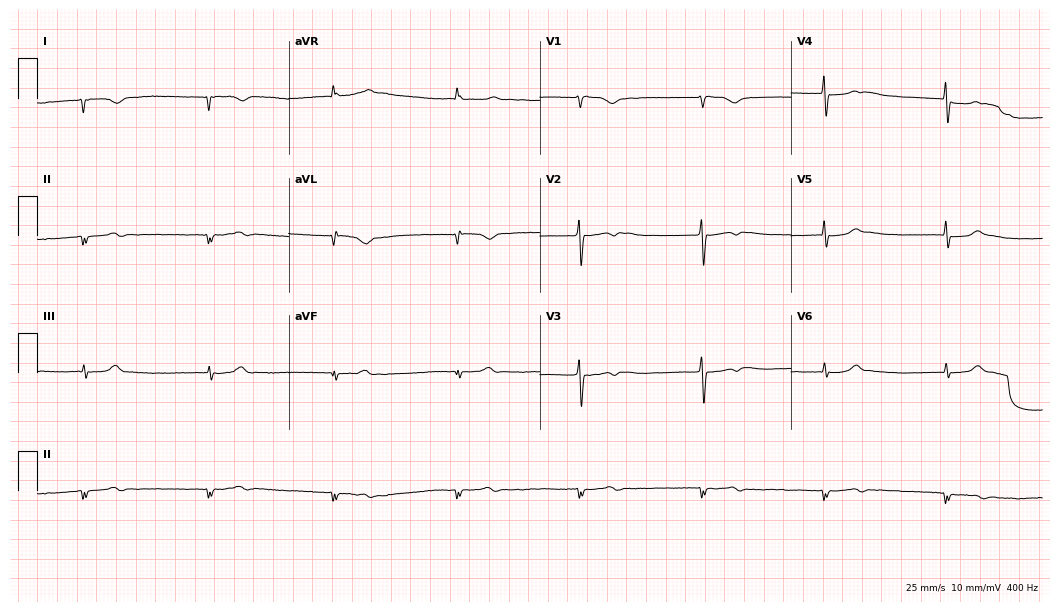
Electrocardiogram (10.2-second recording at 400 Hz), a female patient, 78 years old. Of the six screened findings (first-degree AV block, right bundle branch block, left bundle branch block, sinus bradycardia, atrial fibrillation, sinus tachycardia), none is recorded. Other findings, if any, are not listed.